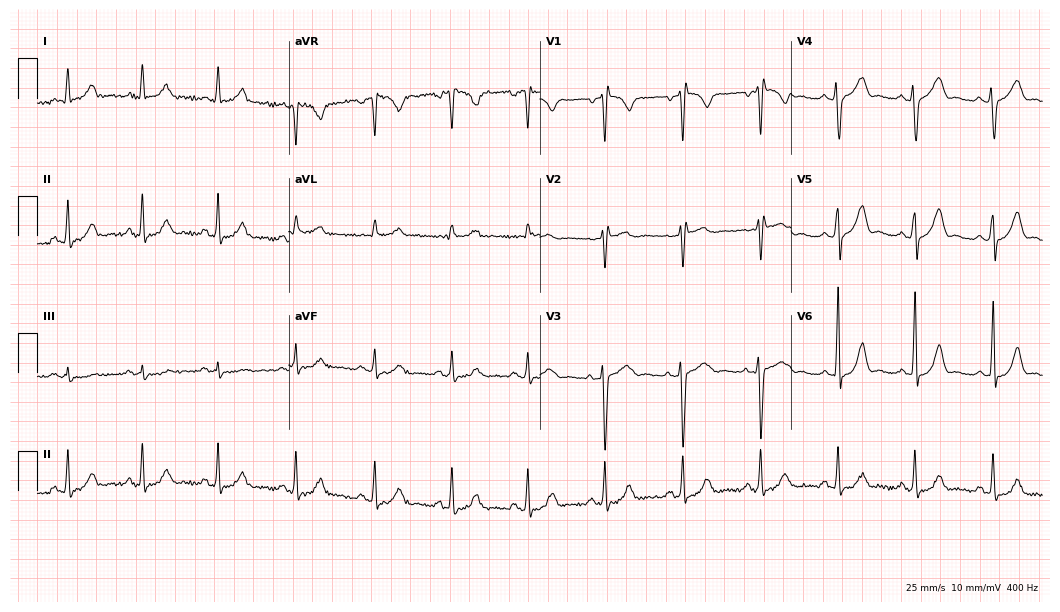
ECG (10.2-second recording at 400 Hz) — a male, 55 years old. Screened for six findings — first-degree AV block, right bundle branch block, left bundle branch block, sinus bradycardia, atrial fibrillation, sinus tachycardia — none is recorded. Other findings, if any, are not listed.